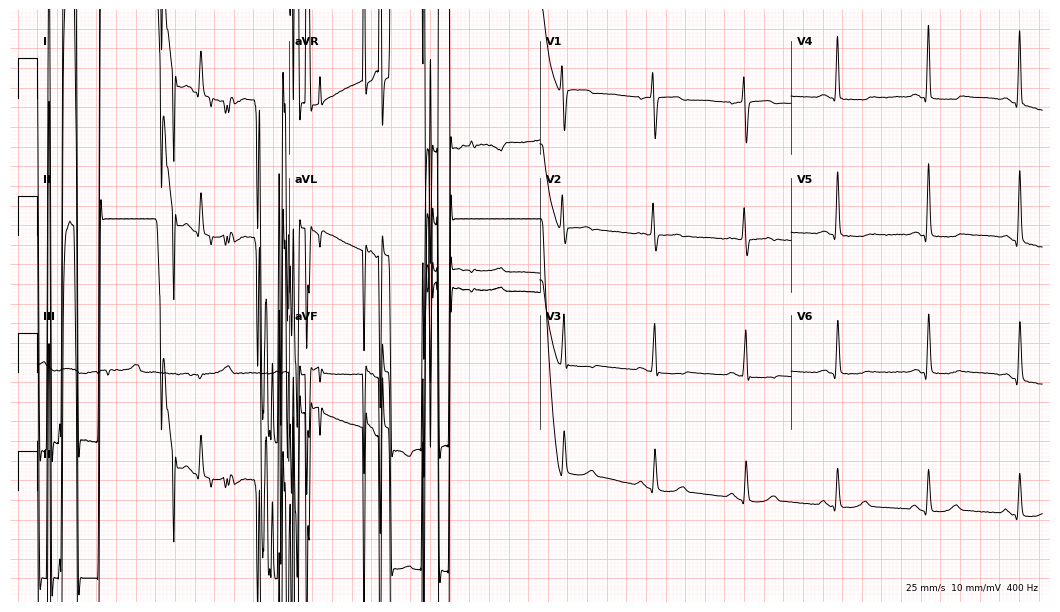
12-lead ECG from a 60-year-old female patient. Screened for six findings — first-degree AV block, right bundle branch block, left bundle branch block, sinus bradycardia, atrial fibrillation, sinus tachycardia — none is recorded.